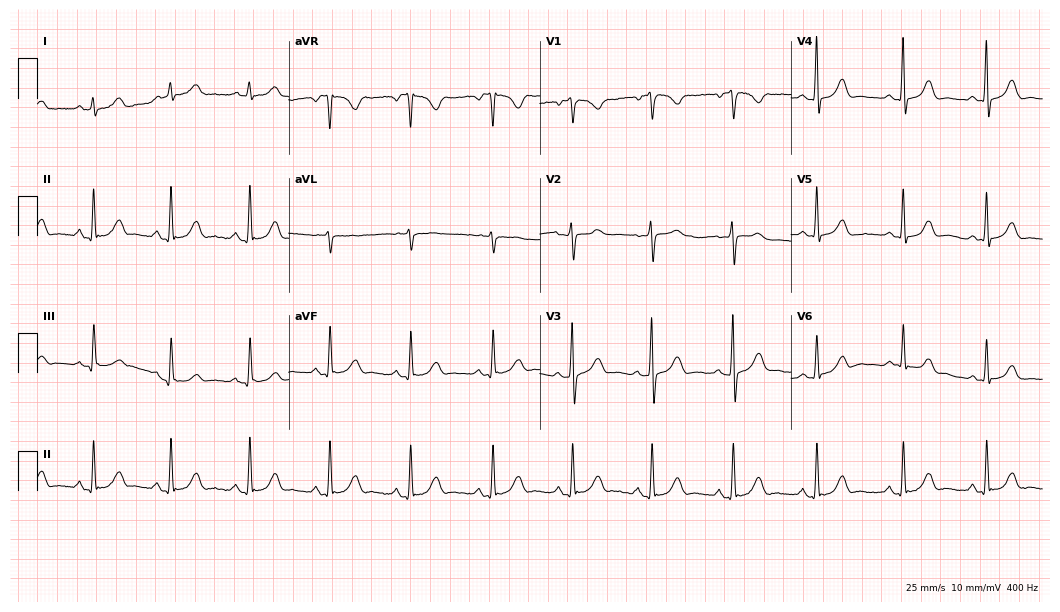
12-lead ECG (10.2-second recording at 400 Hz) from a female, 60 years old. Labelled as a normal ECG.